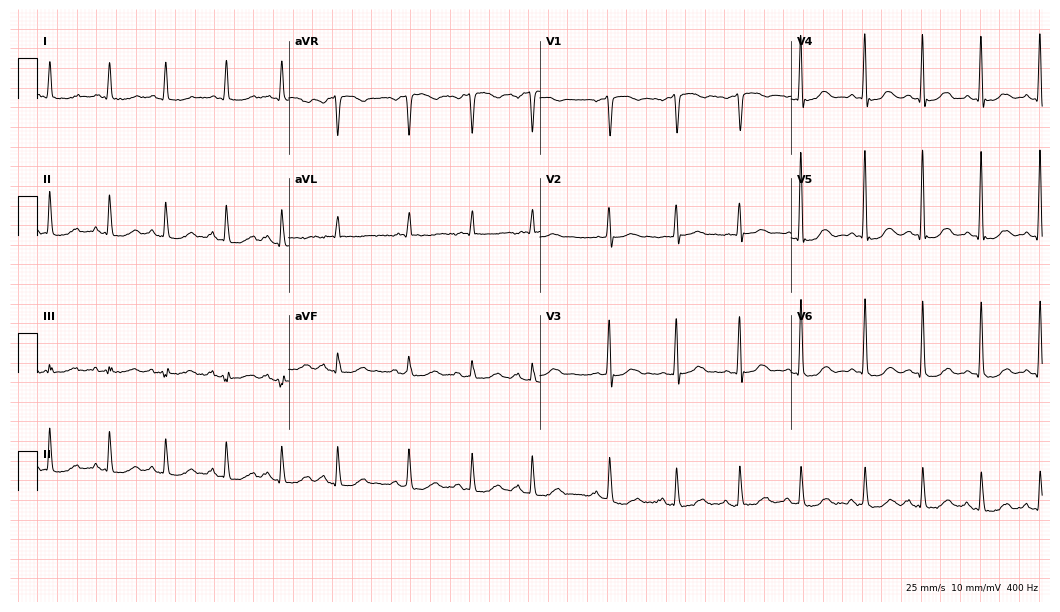
Electrocardiogram, a female, 75 years old. Of the six screened findings (first-degree AV block, right bundle branch block (RBBB), left bundle branch block (LBBB), sinus bradycardia, atrial fibrillation (AF), sinus tachycardia), none is recorded. Findings outside these six are not listed.